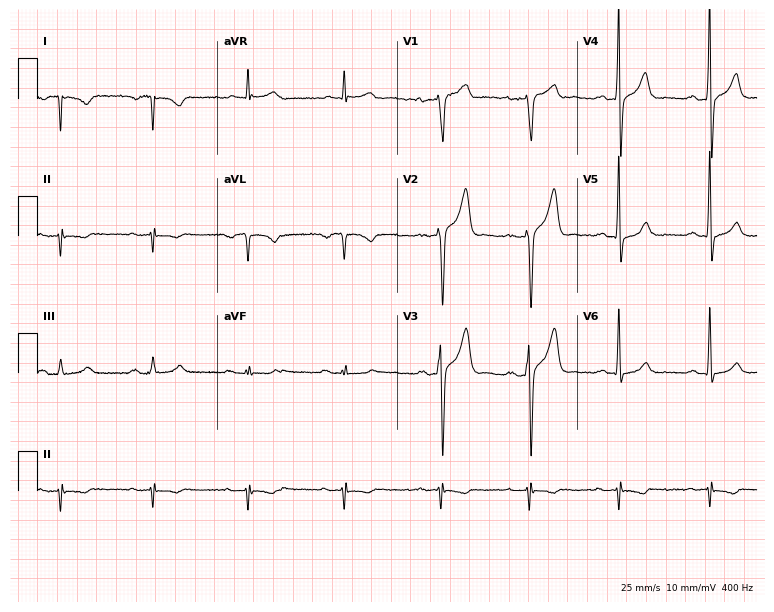
12-lead ECG (7.3-second recording at 400 Hz) from a 50-year-old man. Screened for six findings — first-degree AV block, right bundle branch block, left bundle branch block, sinus bradycardia, atrial fibrillation, sinus tachycardia — none is recorded.